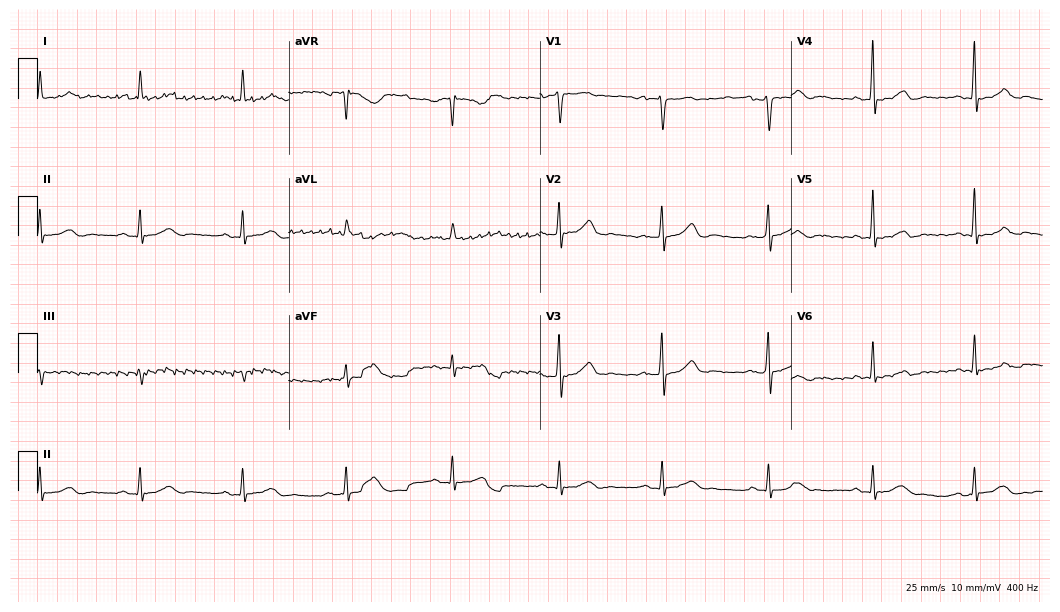
Electrocardiogram (10.2-second recording at 400 Hz), a female patient, 50 years old. Overall reading on record: normal ECG.